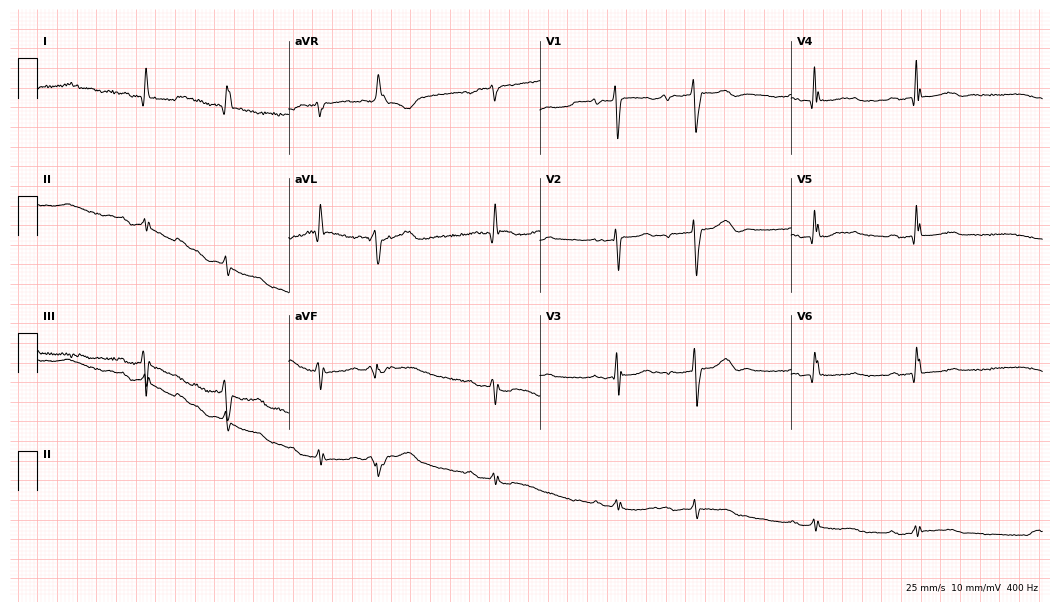
Resting 12-lead electrocardiogram (10.2-second recording at 400 Hz). Patient: a 77-year-old female. None of these six findings is recorded: first-degree AV block, right bundle branch block (RBBB), left bundle branch block (LBBB), sinus bradycardia, atrial fibrillation (AF), sinus tachycardia.